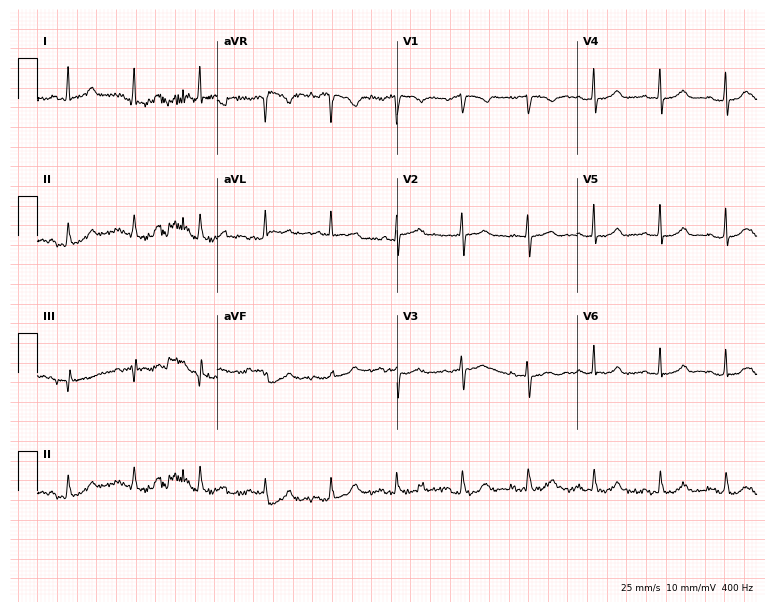
Electrocardiogram, a female, 72 years old. Of the six screened findings (first-degree AV block, right bundle branch block, left bundle branch block, sinus bradycardia, atrial fibrillation, sinus tachycardia), none is recorded. Only these six findings were labelled.